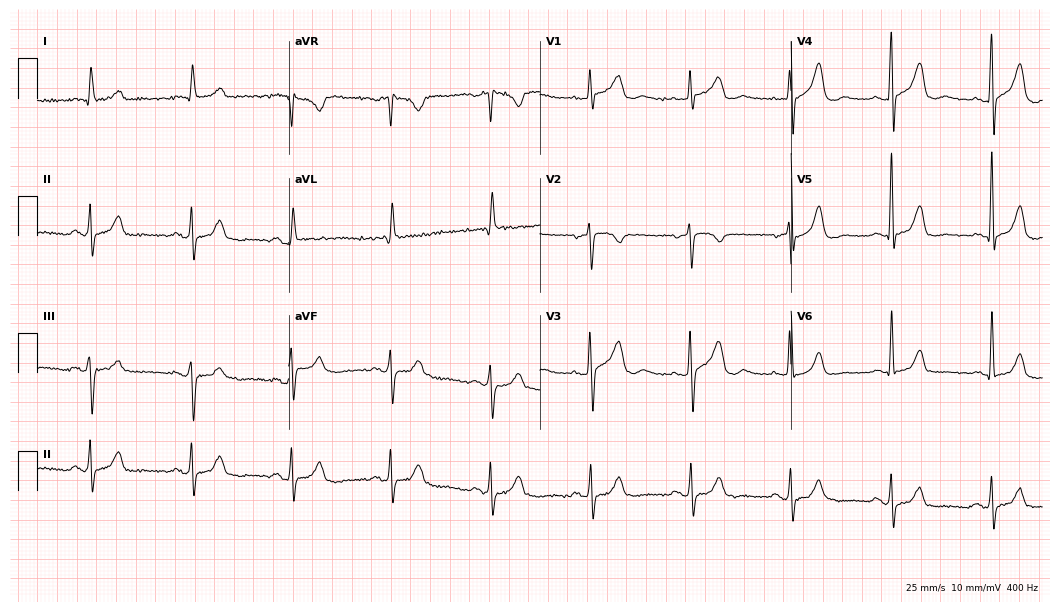
12-lead ECG from a 74-year-old female patient. Screened for six findings — first-degree AV block, right bundle branch block, left bundle branch block, sinus bradycardia, atrial fibrillation, sinus tachycardia — none is recorded.